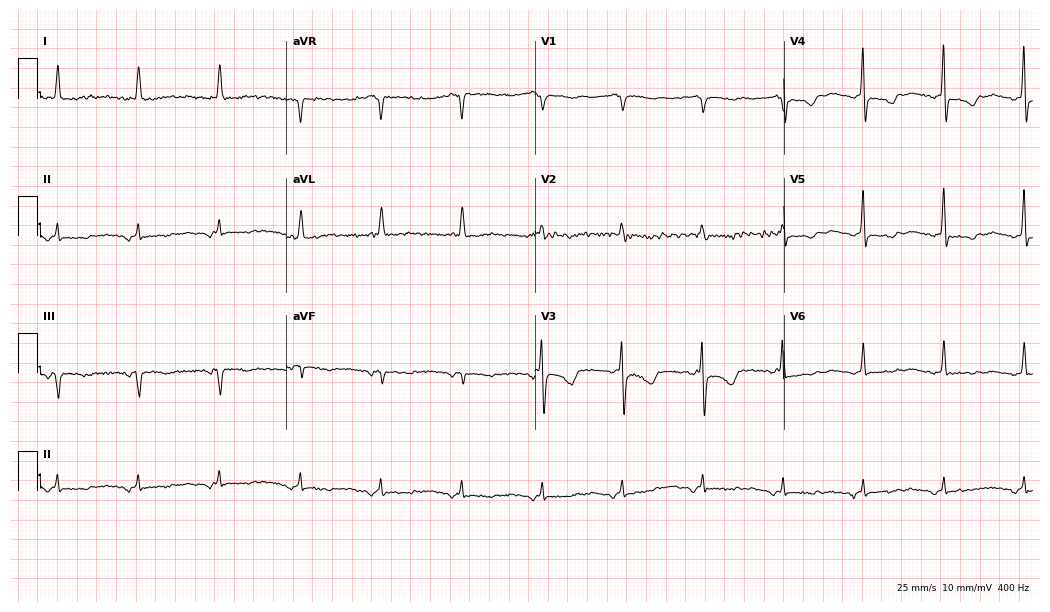
ECG — a 75-year-old female patient. Screened for six findings — first-degree AV block, right bundle branch block, left bundle branch block, sinus bradycardia, atrial fibrillation, sinus tachycardia — none is recorded.